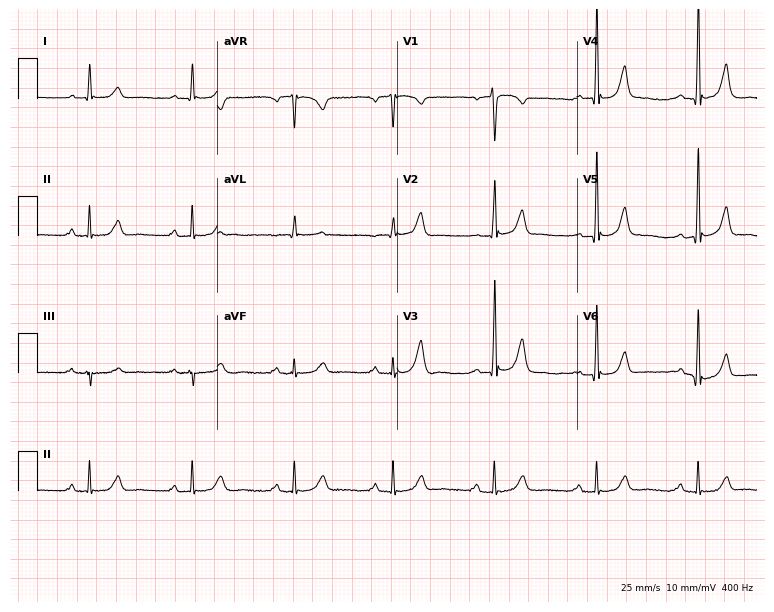
ECG (7.3-second recording at 400 Hz) — a male, 61 years old. Labelled as a normal ECG.